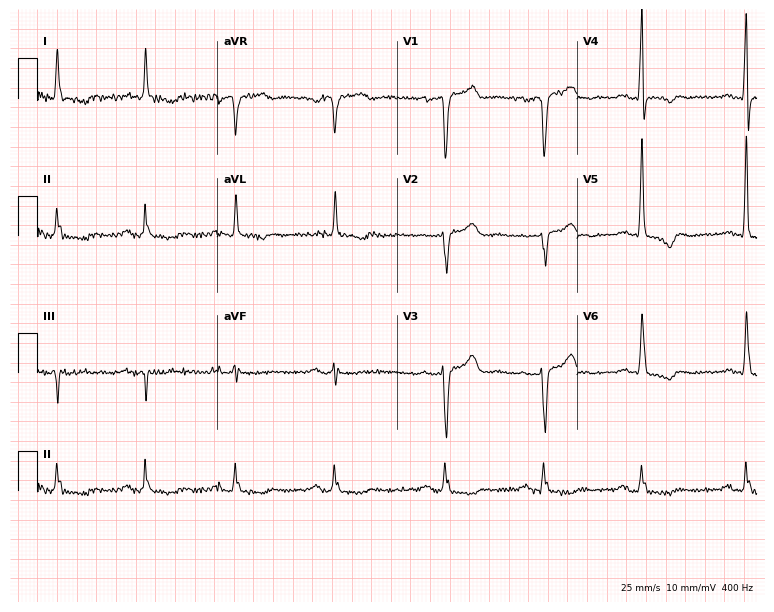
Resting 12-lead electrocardiogram. Patient: an 81-year-old male. The tracing shows first-degree AV block.